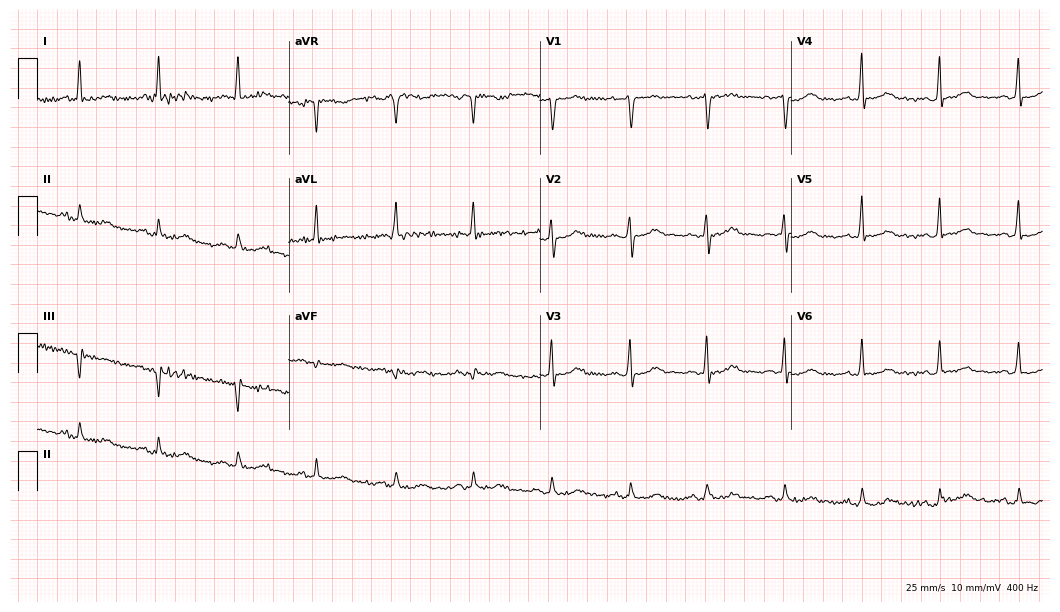
12-lead ECG from a female patient, 72 years old. Labelled as a normal ECG.